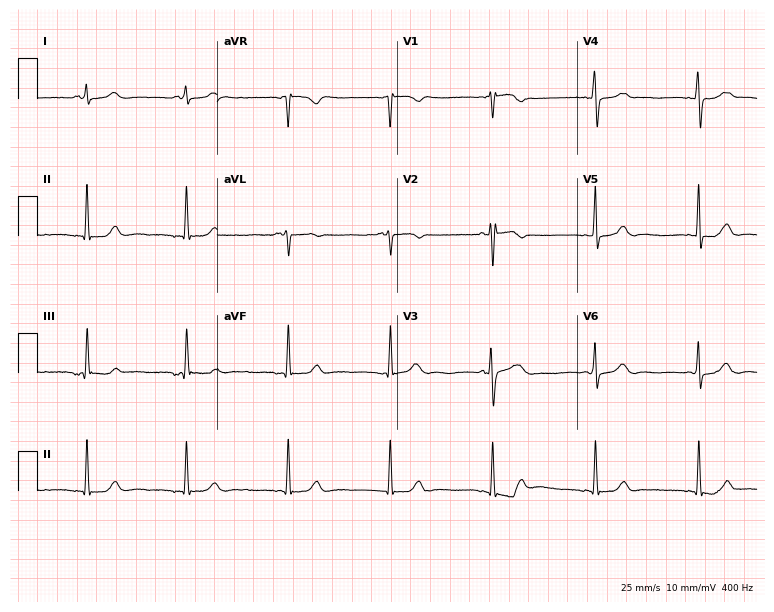
12-lead ECG from a woman, 25 years old (7.3-second recording at 400 Hz). Recorded interpretation: within normal limits.